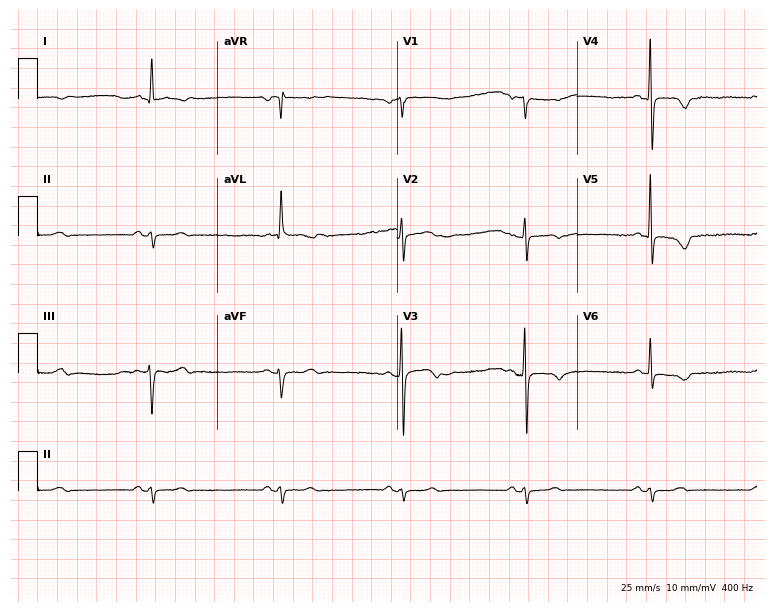
12-lead ECG from a man, 68 years old. Shows sinus bradycardia (a sinus rate of 50 beats per minute or less).